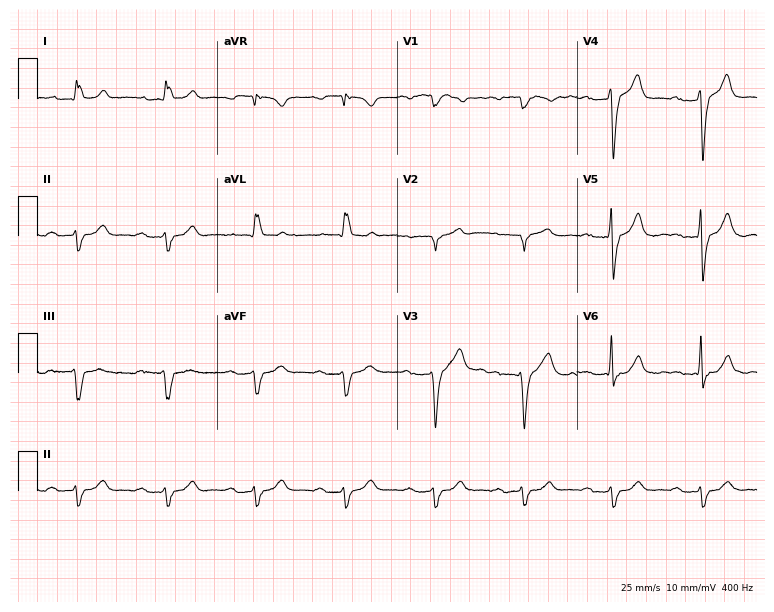
Standard 12-lead ECG recorded from a male patient, 83 years old. The tracing shows first-degree AV block, left bundle branch block.